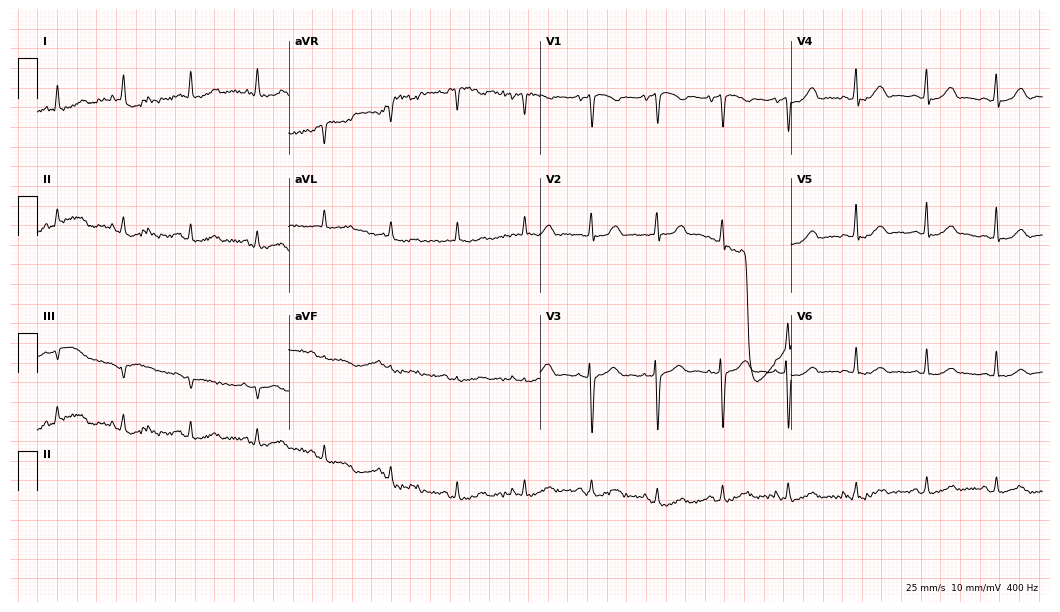
ECG — a female, 85 years old. Labelled as a normal ECG.